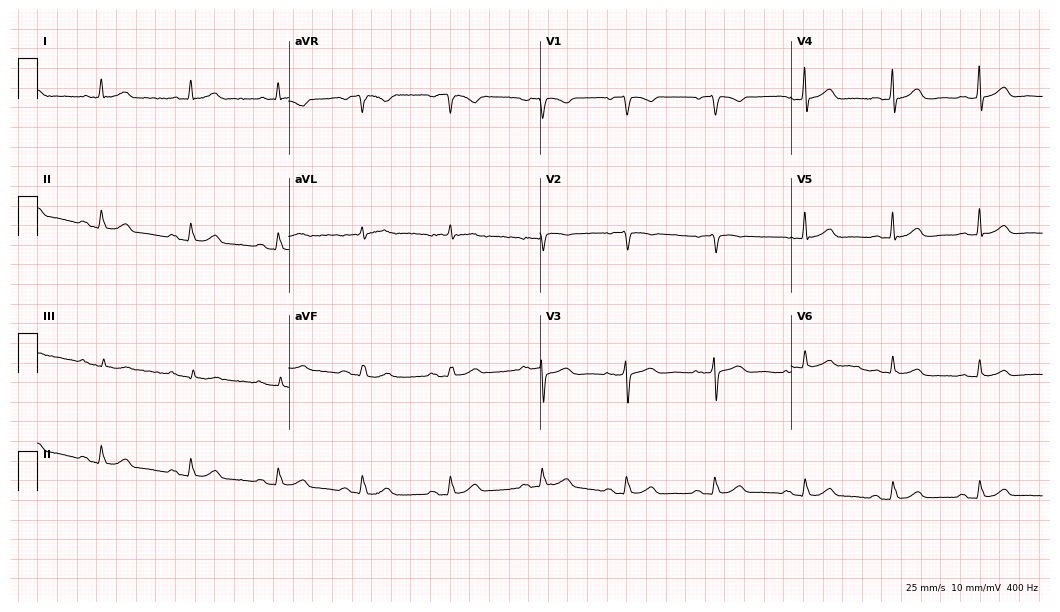
ECG (10.2-second recording at 400 Hz) — a female patient, 79 years old. Screened for six findings — first-degree AV block, right bundle branch block, left bundle branch block, sinus bradycardia, atrial fibrillation, sinus tachycardia — none is recorded.